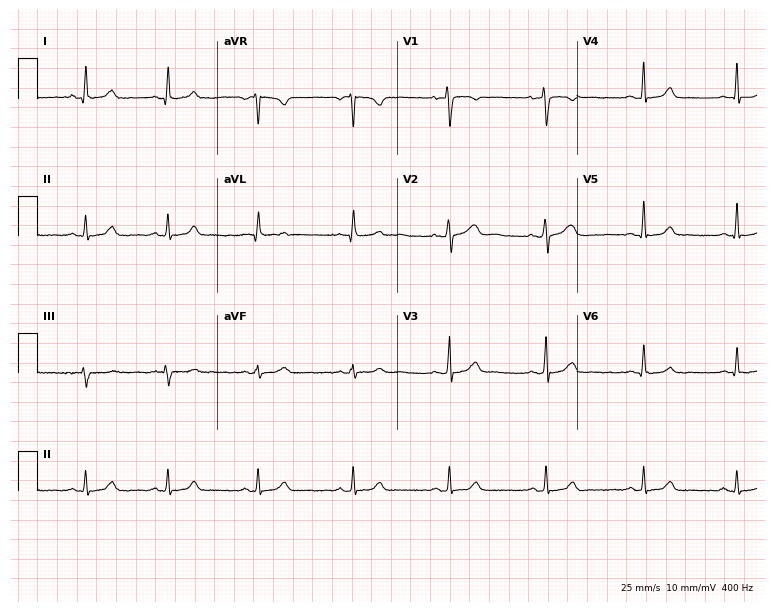
ECG — a woman, 32 years old. Screened for six findings — first-degree AV block, right bundle branch block, left bundle branch block, sinus bradycardia, atrial fibrillation, sinus tachycardia — none is recorded. Only these six findings were labelled.